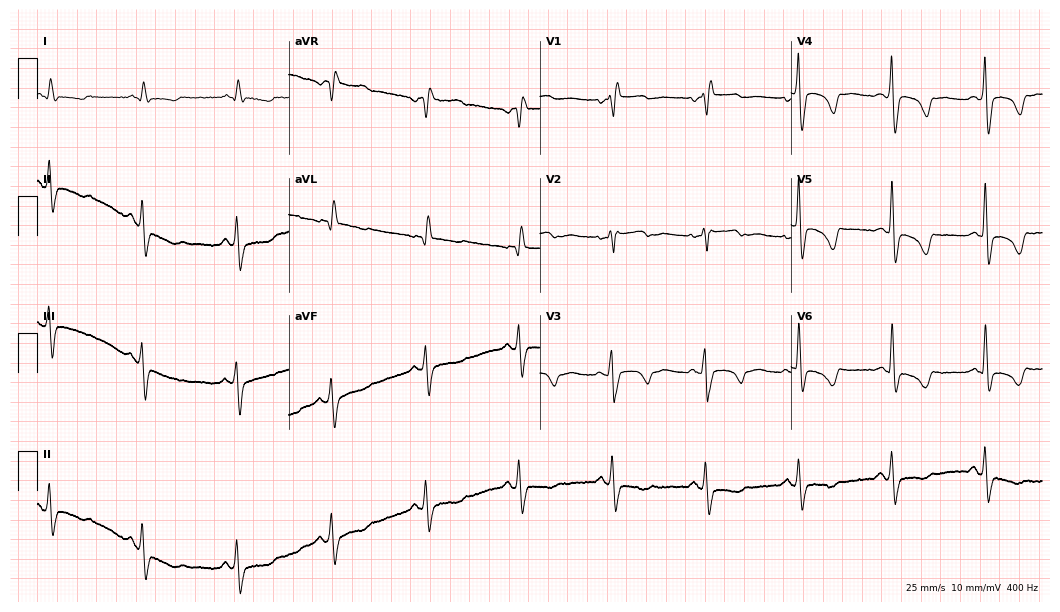
12-lead ECG from a 63-year-old female patient. No first-degree AV block, right bundle branch block, left bundle branch block, sinus bradycardia, atrial fibrillation or sinus tachycardia recorded for this tracing.